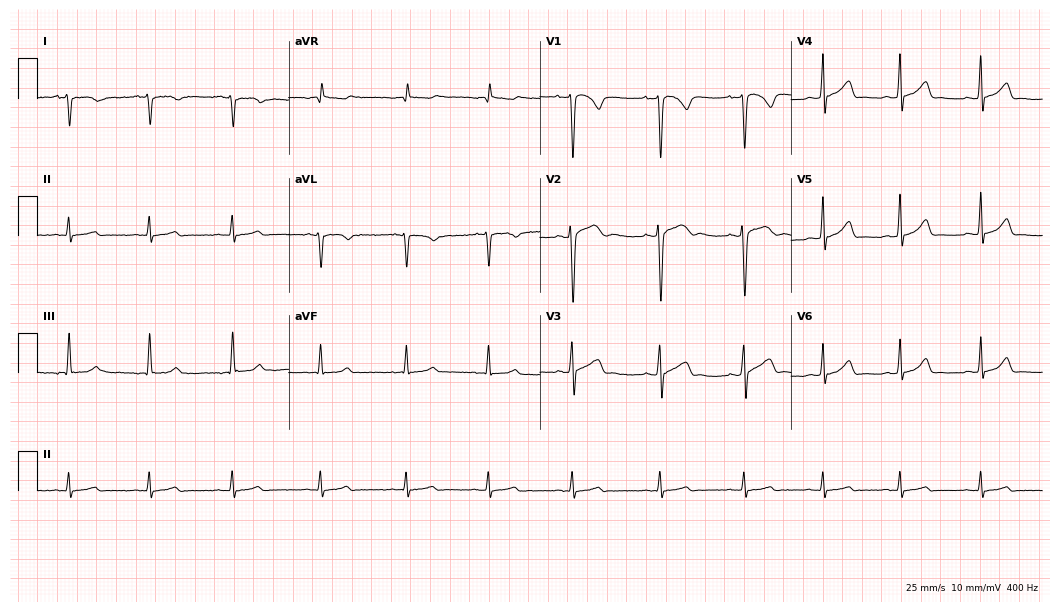
12-lead ECG from a 31-year-old female patient. Screened for six findings — first-degree AV block, right bundle branch block, left bundle branch block, sinus bradycardia, atrial fibrillation, sinus tachycardia — none is recorded.